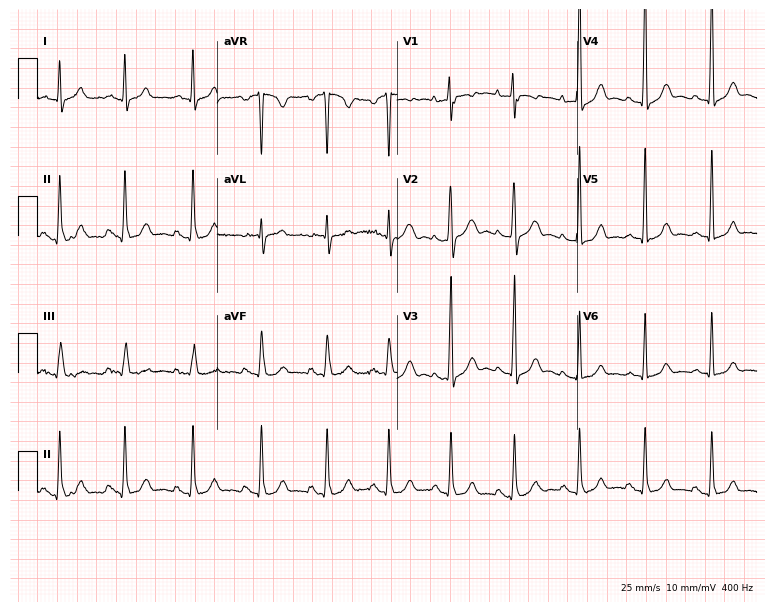
12-lead ECG from a male patient, 48 years old (7.3-second recording at 400 Hz). No first-degree AV block, right bundle branch block, left bundle branch block, sinus bradycardia, atrial fibrillation or sinus tachycardia recorded for this tracing. Only these six findings were labelled.